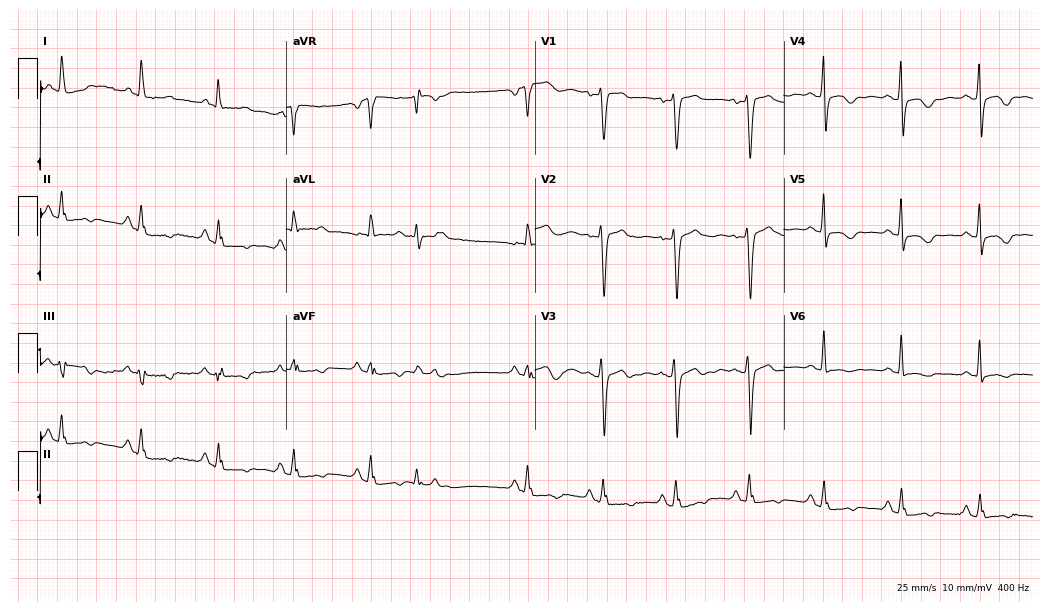
Standard 12-lead ECG recorded from a female, 58 years old (10.1-second recording at 400 Hz). None of these six findings is recorded: first-degree AV block, right bundle branch block, left bundle branch block, sinus bradycardia, atrial fibrillation, sinus tachycardia.